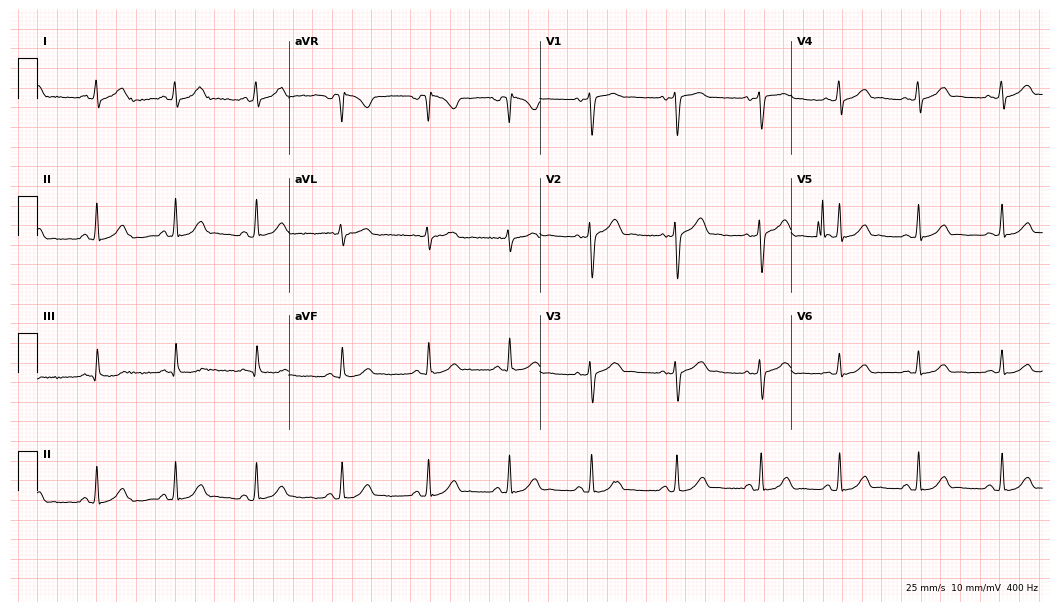
12-lead ECG (10.2-second recording at 400 Hz) from a 23-year-old woman. Labelled as a normal ECG.